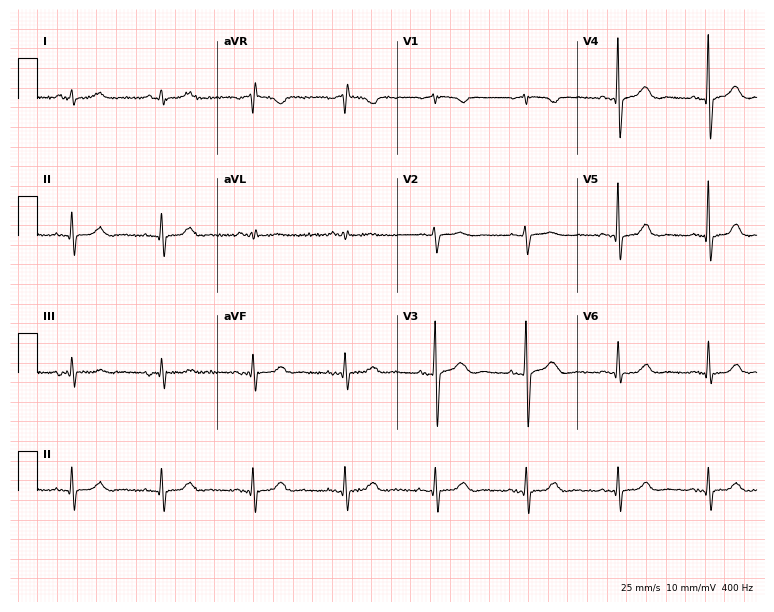
ECG (7.3-second recording at 400 Hz) — a 70-year-old female. Labelled as a normal ECG.